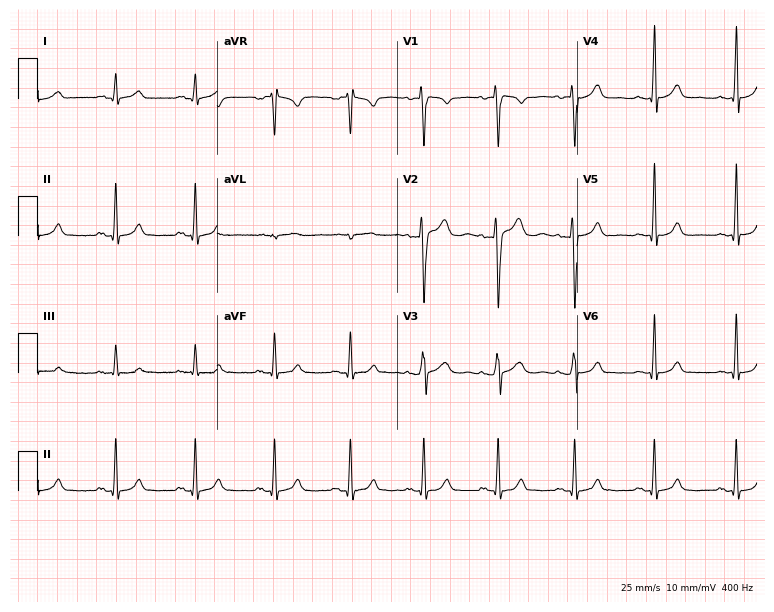
ECG (7.3-second recording at 400 Hz) — a male, 25 years old. Labelled as a normal ECG.